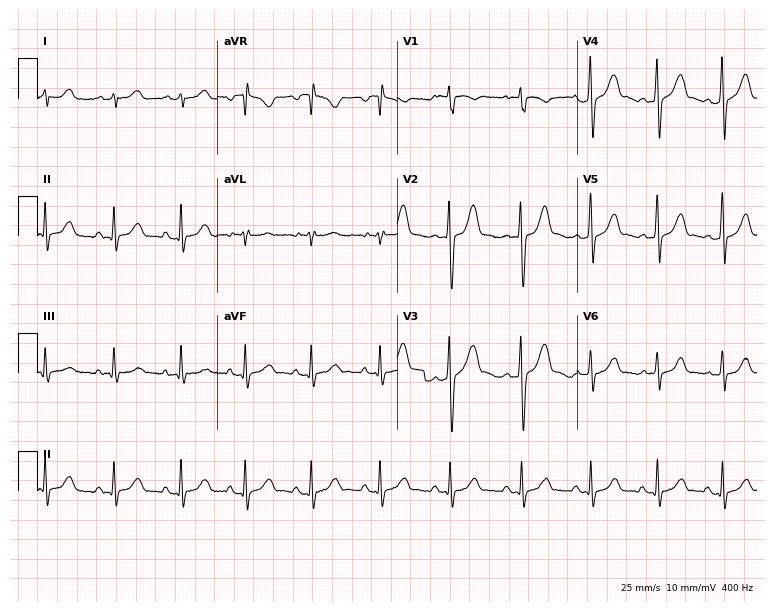
Electrocardiogram (7.3-second recording at 400 Hz), a male patient, 22 years old. Of the six screened findings (first-degree AV block, right bundle branch block, left bundle branch block, sinus bradycardia, atrial fibrillation, sinus tachycardia), none is recorded. Other findings, if any, are not listed.